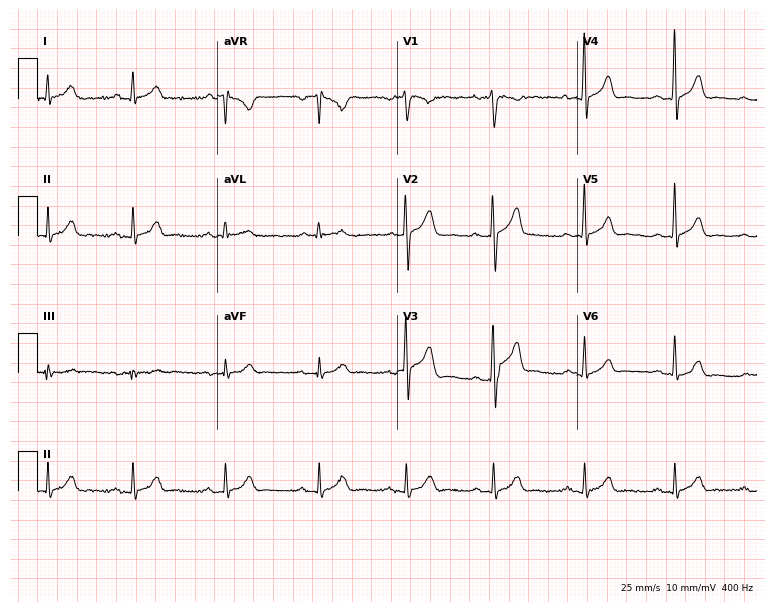
12-lead ECG (7.3-second recording at 400 Hz) from a 28-year-old man. Screened for six findings — first-degree AV block, right bundle branch block, left bundle branch block, sinus bradycardia, atrial fibrillation, sinus tachycardia — none is recorded.